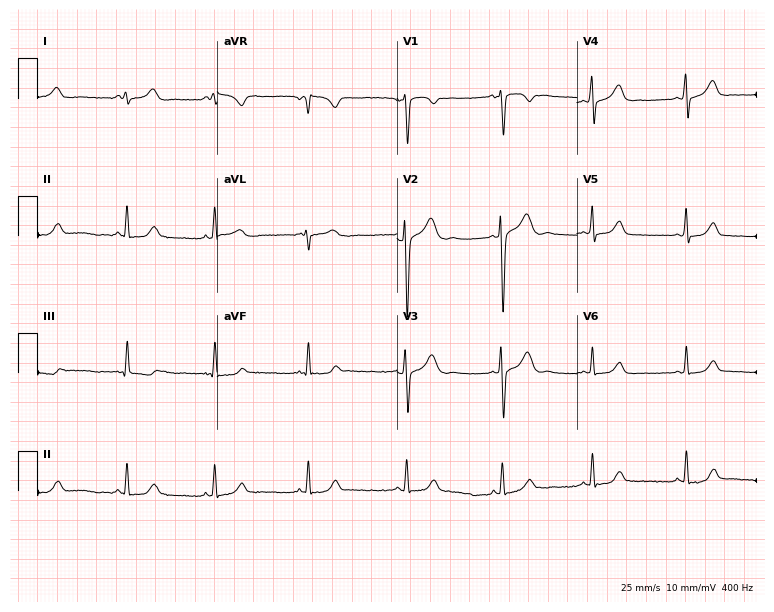
Electrocardiogram, an 18-year-old female. Of the six screened findings (first-degree AV block, right bundle branch block, left bundle branch block, sinus bradycardia, atrial fibrillation, sinus tachycardia), none is recorded. Other findings, if any, are not listed.